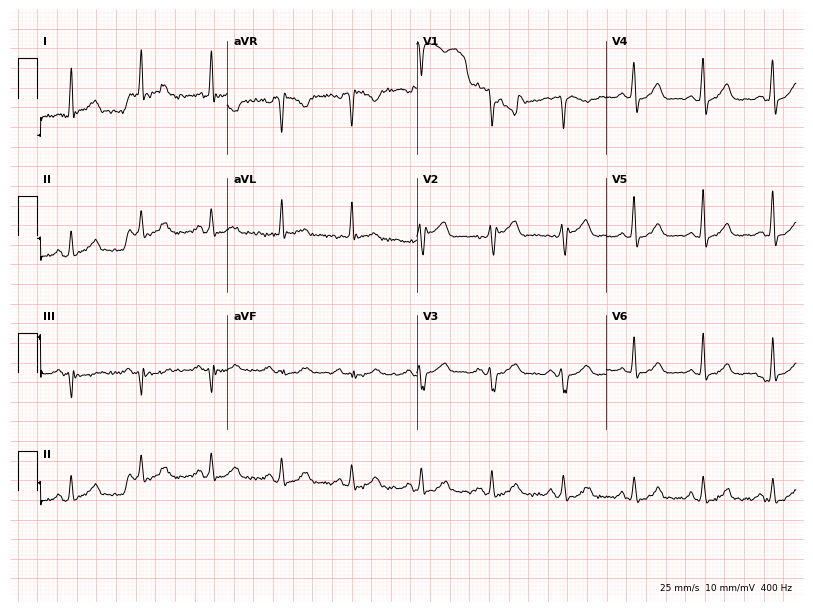
12-lead ECG from a male patient, 74 years old. Recorded interpretation: within normal limits.